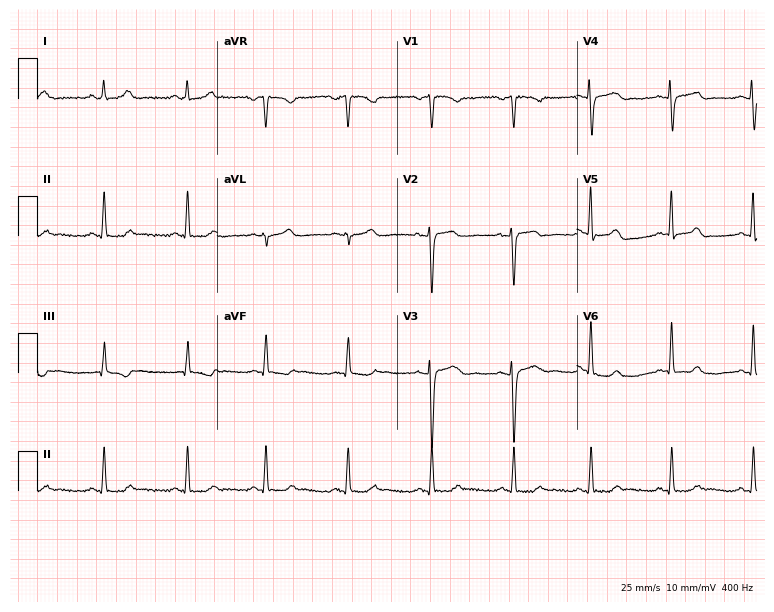
ECG — a 36-year-old female patient. Labelled as a normal ECG.